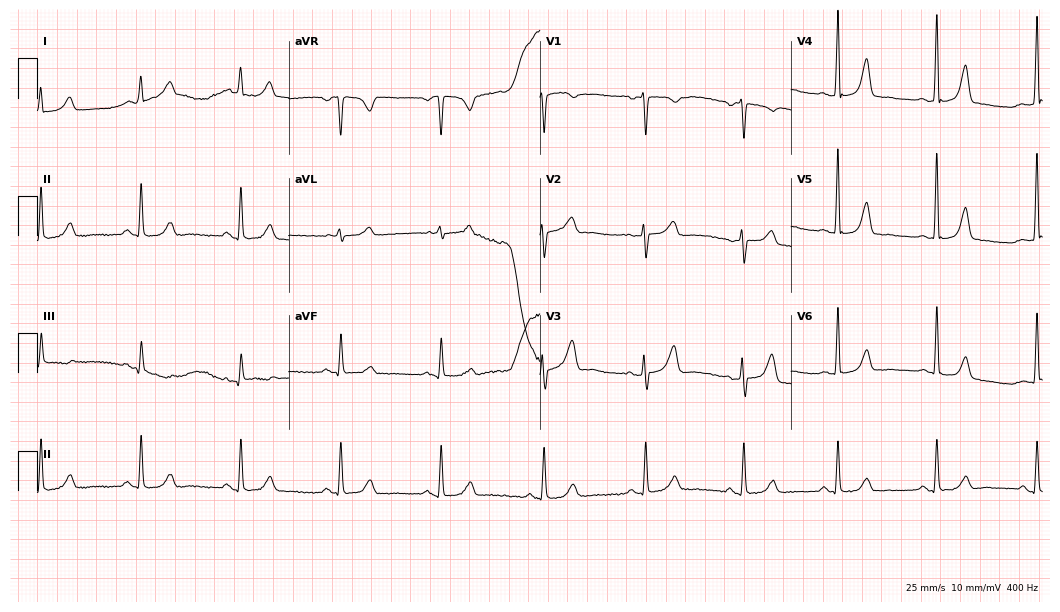
12-lead ECG from a 40-year-old female. Recorded interpretation: within normal limits.